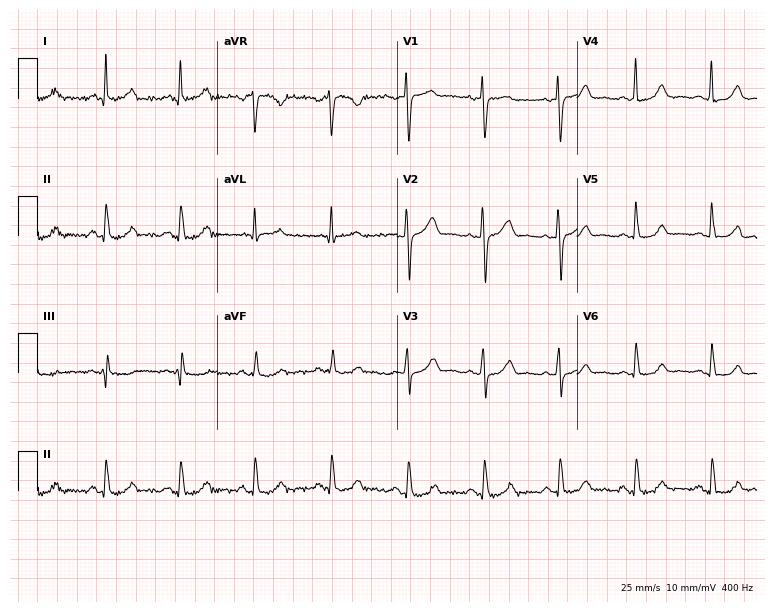
Standard 12-lead ECG recorded from a 55-year-old female. Read as a normal ECG.